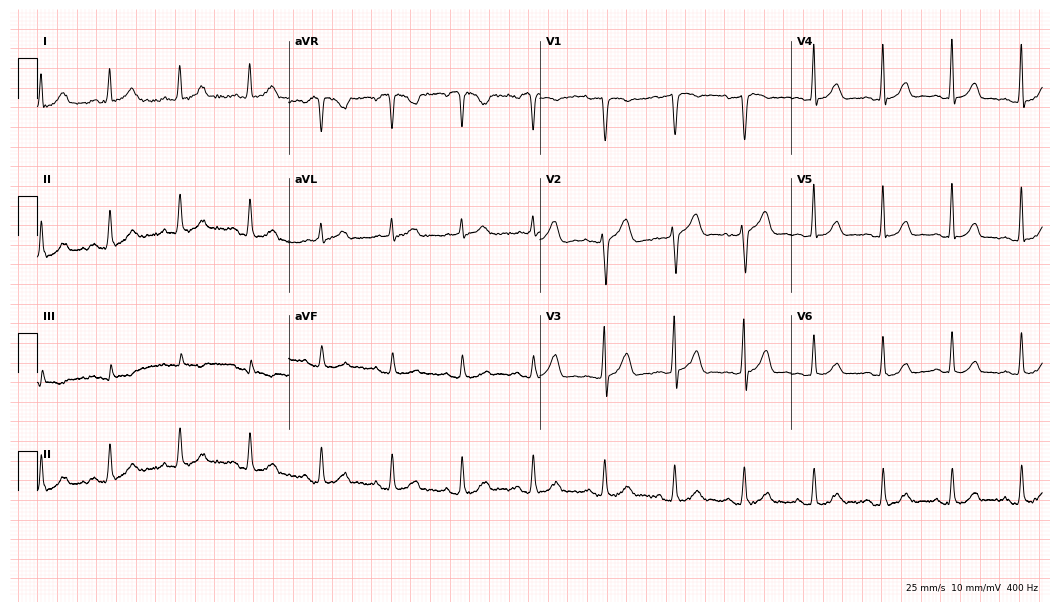
Standard 12-lead ECG recorded from a 62-year-old female patient (10.2-second recording at 400 Hz). Read as a normal ECG.